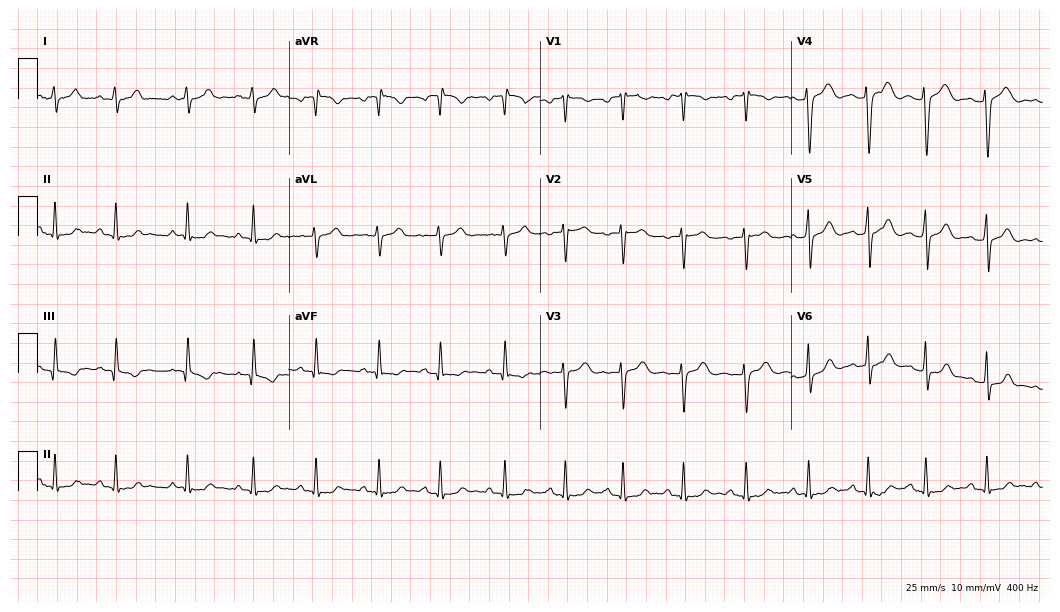
Resting 12-lead electrocardiogram. Patient: a 24-year-old woman. None of these six findings is recorded: first-degree AV block, right bundle branch block (RBBB), left bundle branch block (LBBB), sinus bradycardia, atrial fibrillation (AF), sinus tachycardia. Other findings, if any, are not listed.